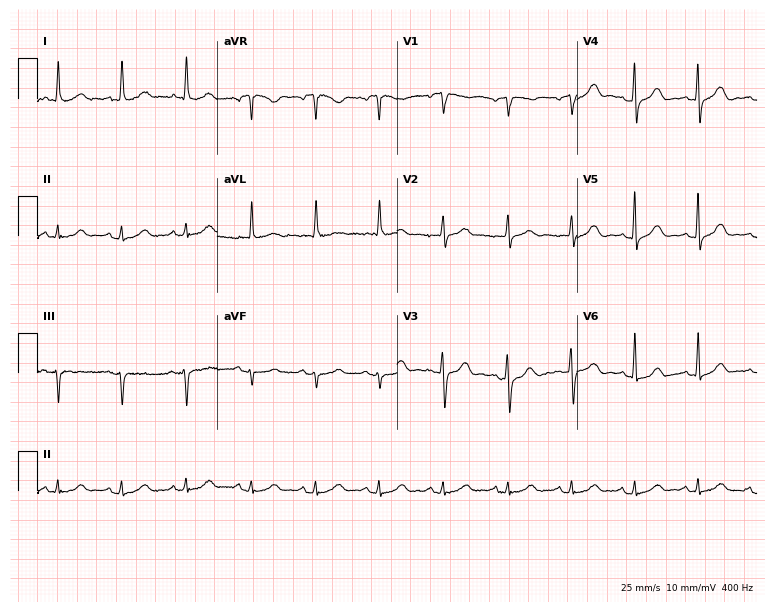
12-lead ECG from a 75-year-old female (7.3-second recording at 400 Hz). Recorded interpretation: within normal limits.